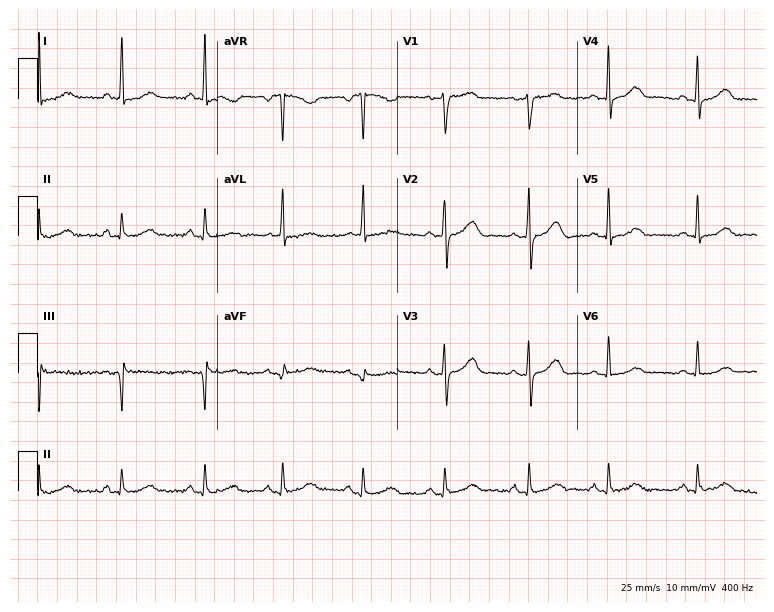
12-lead ECG from a 56-year-old female patient. Labelled as a normal ECG.